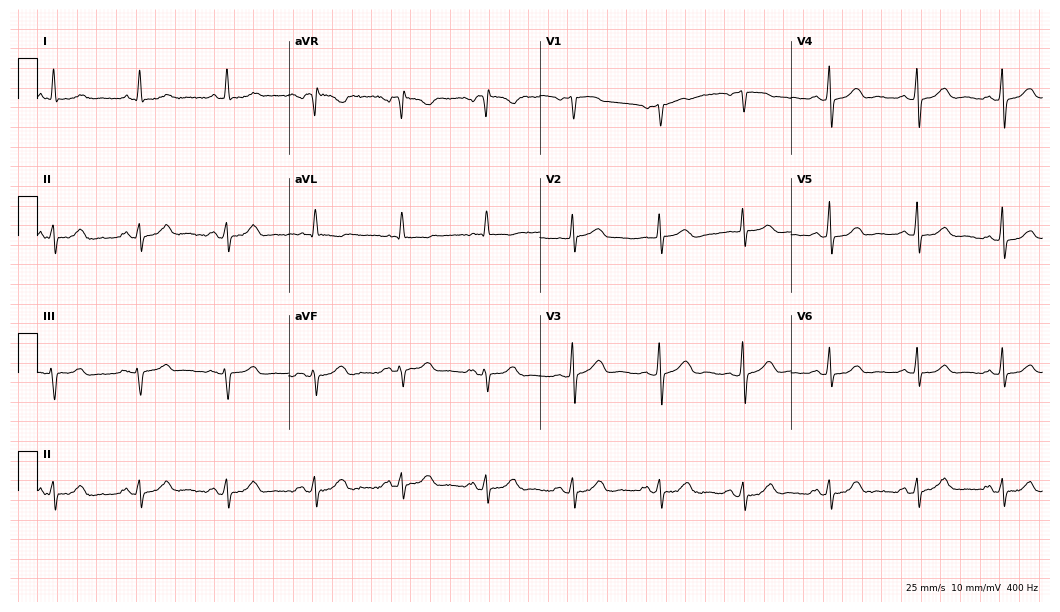
Standard 12-lead ECG recorded from a 62-year-old female patient. Read as a normal ECG.